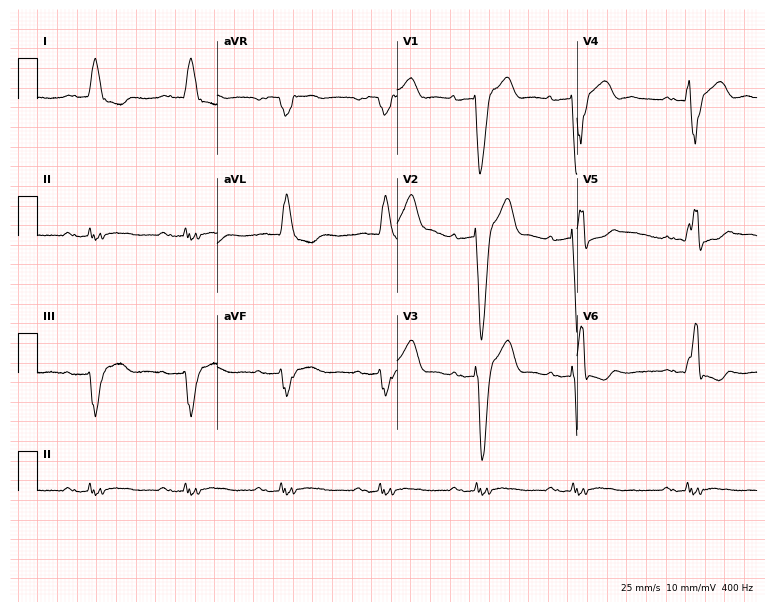
ECG — a 71-year-old female patient. Findings include left bundle branch block (LBBB).